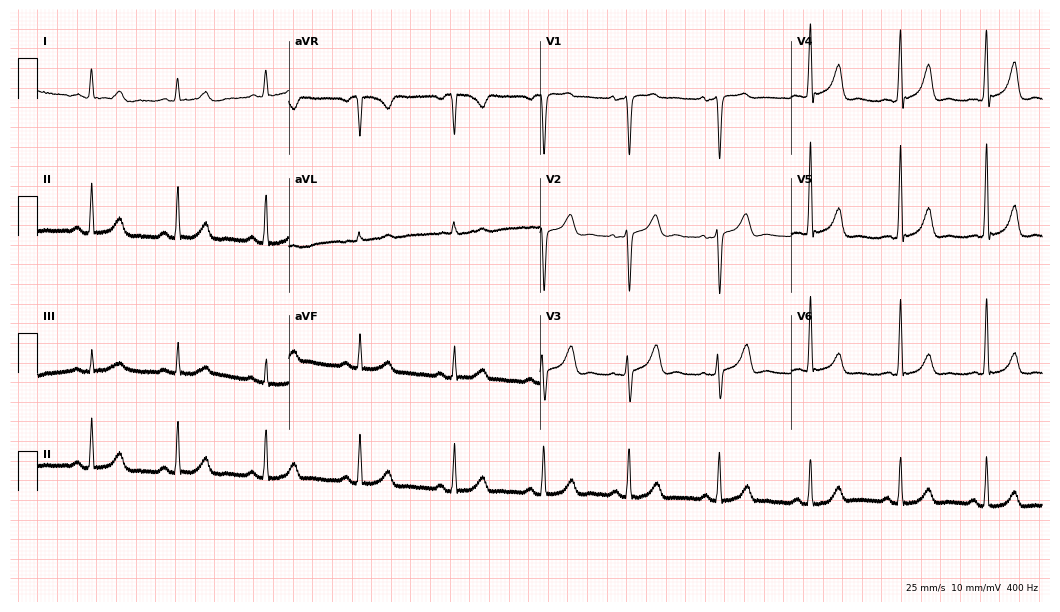
Resting 12-lead electrocardiogram. Patient: a female, 59 years old. Read as a normal ECG.